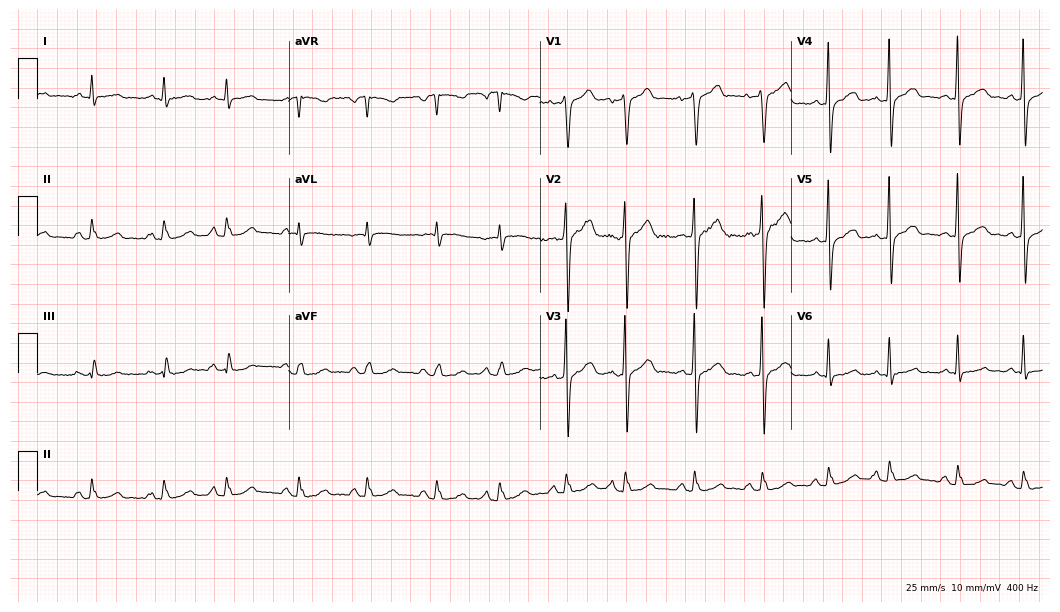
12-lead ECG from a male patient, 48 years old. Recorded interpretation: within normal limits.